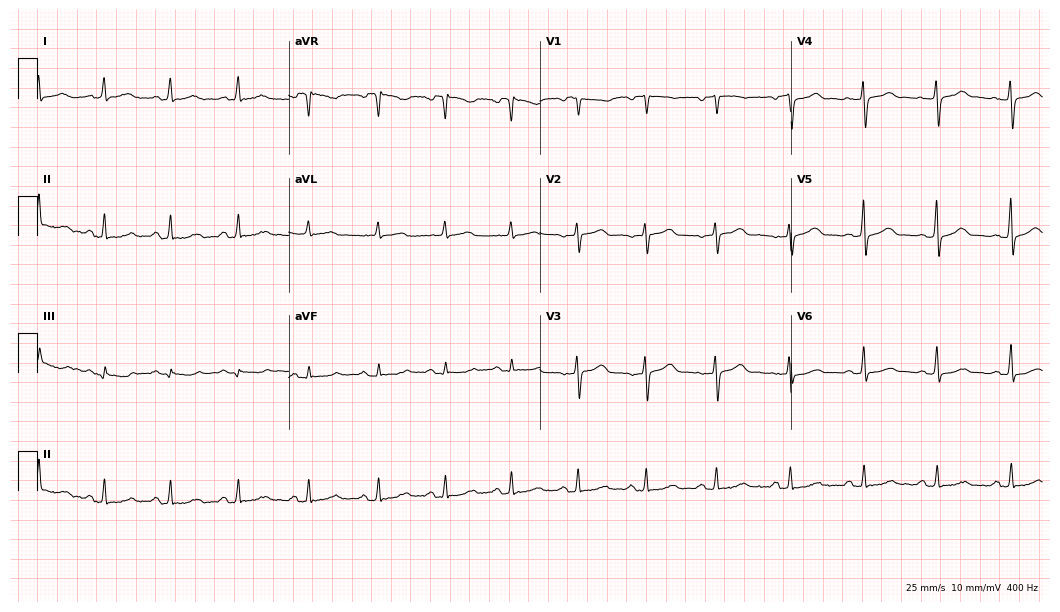
12-lead ECG from a female patient, 57 years old (10.2-second recording at 400 Hz). No first-degree AV block, right bundle branch block, left bundle branch block, sinus bradycardia, atrial fibrillation or sinus tachycardia recorded for this tracing.